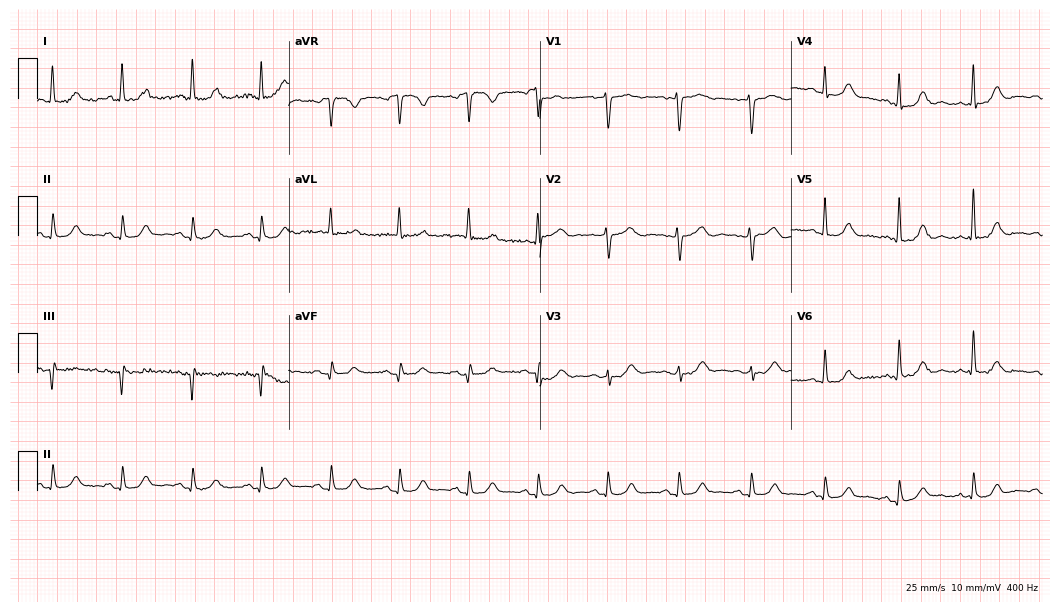
12-lead ECG from a female patient, 67 years old. Labelled as a normal ECG.